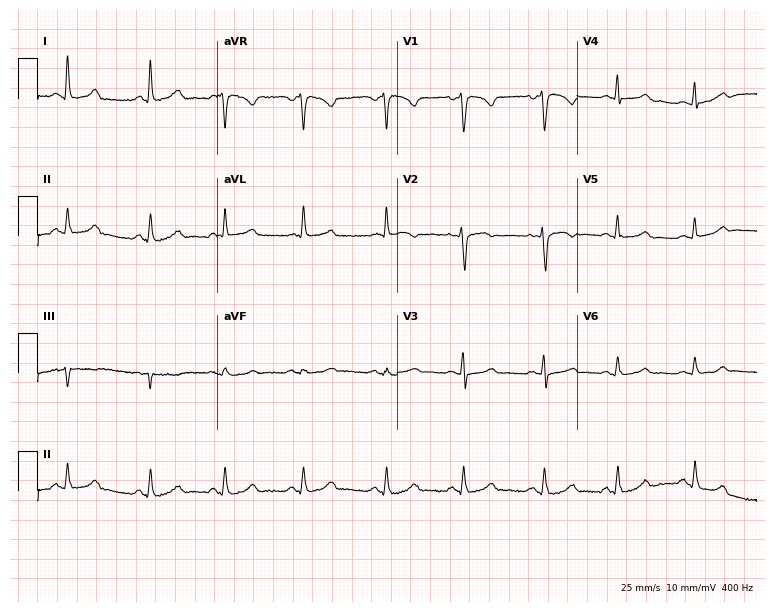
12-lead ECG from a woman, 41 years old. Screened for six findings — first-degree AV block, right bundle branch block, left bundle branch block, sinus bradycardia, atrial fibrillation, sinus tachycardia — none is recorded. Other findings, if any, are not listed.